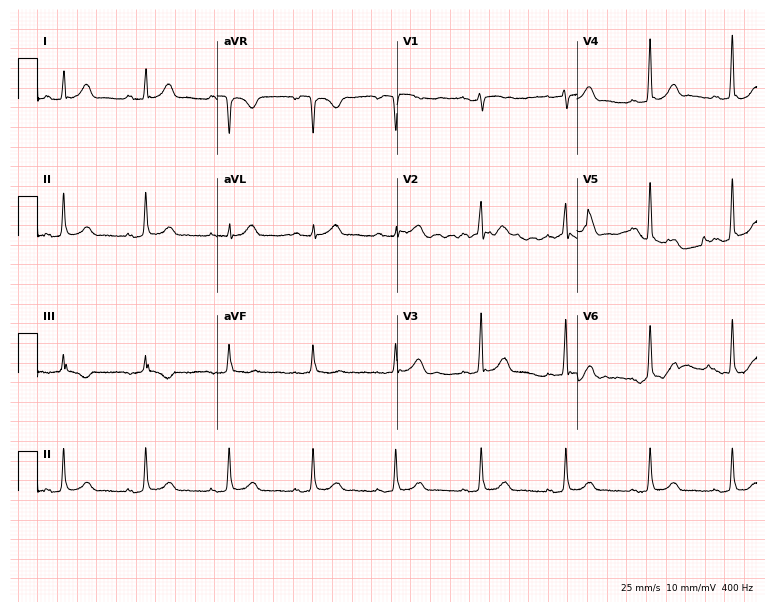
12-lead ECG from a male patient, 36 years old. Recorded interpretation: within normal limits.